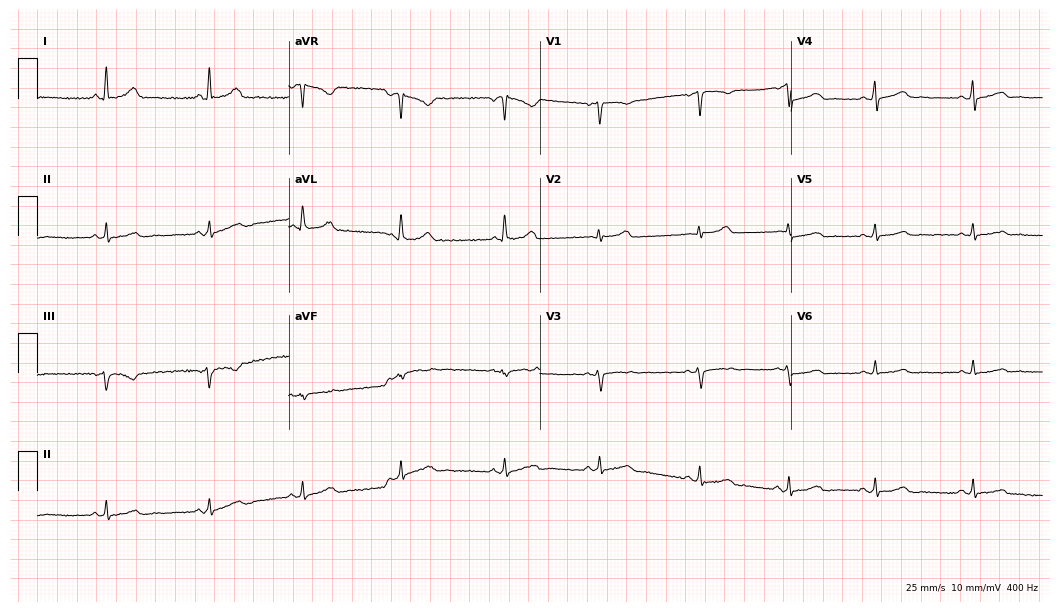
Electrocardiogram, a 38-year-old woman. Of the six screened findings (first-degree AV block, right bundle branch block (RBBB), left bundle branch block (LBBB), sinus bradycardia, atrial fibrillation (AF), sinus tachycardia), none is recorded.